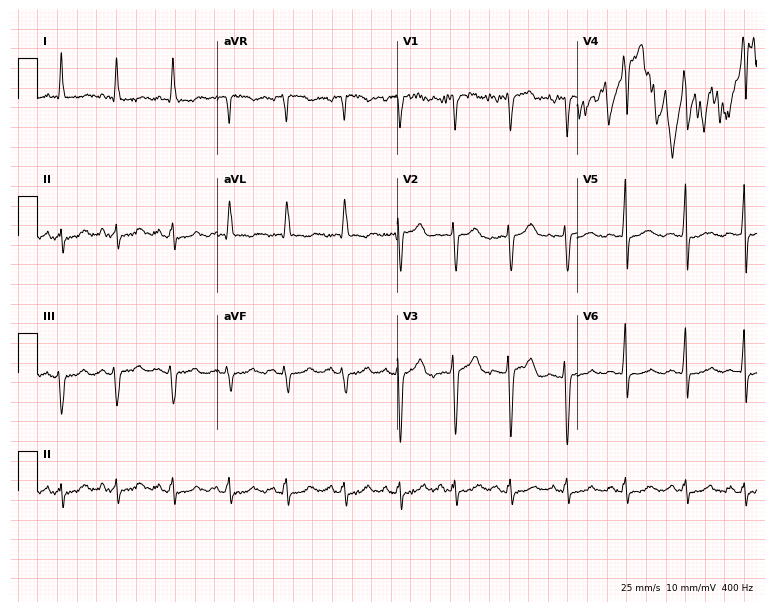
Resting 12-lead electrocardiogram (7.3-second recording at 400 Hz). Patient: a female, 73 years old. The tracing shows sinus tachycardia (a sinus rate of 100 beats per minute or more).